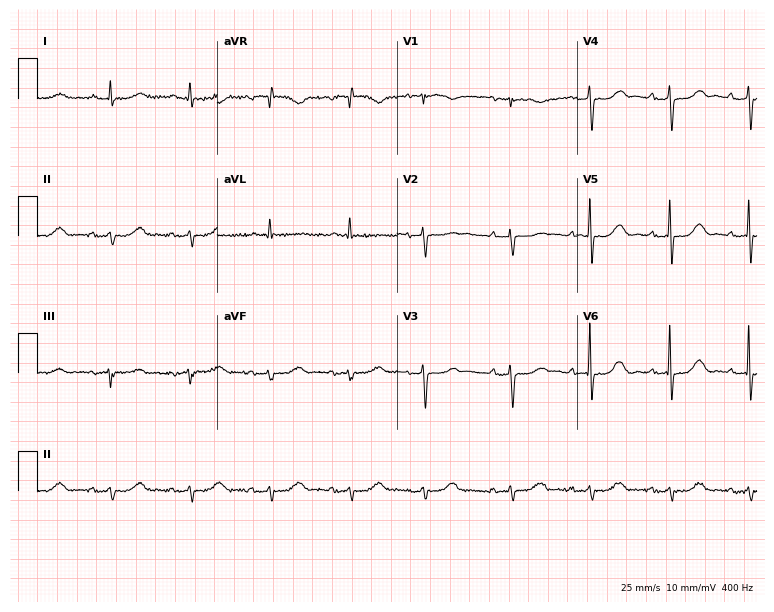
Electrocardiogram, a woman, 85 years old. Of the six screened findings (first-degree AV block, right bundle branch block (RBBB), left bundle branch block (LBBB), sinus bradycardia, atrial fibrillation (AF), sinus tachycardia), none is recorded. Findings outside these six are not listed.